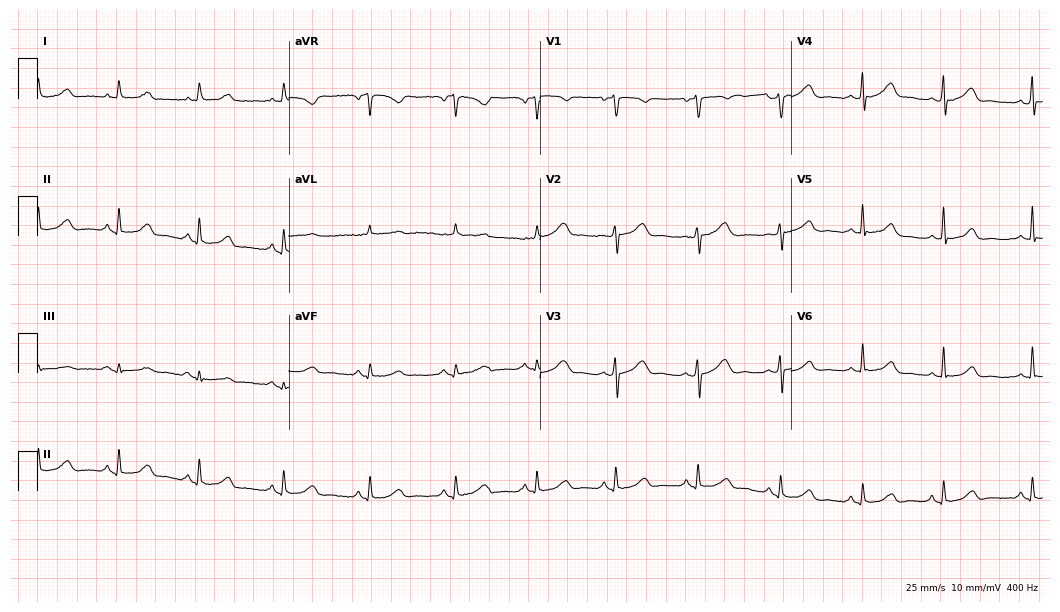
Standard 12-lead ECG recorded from a 60-year-old woman. Read as a normal ECG.